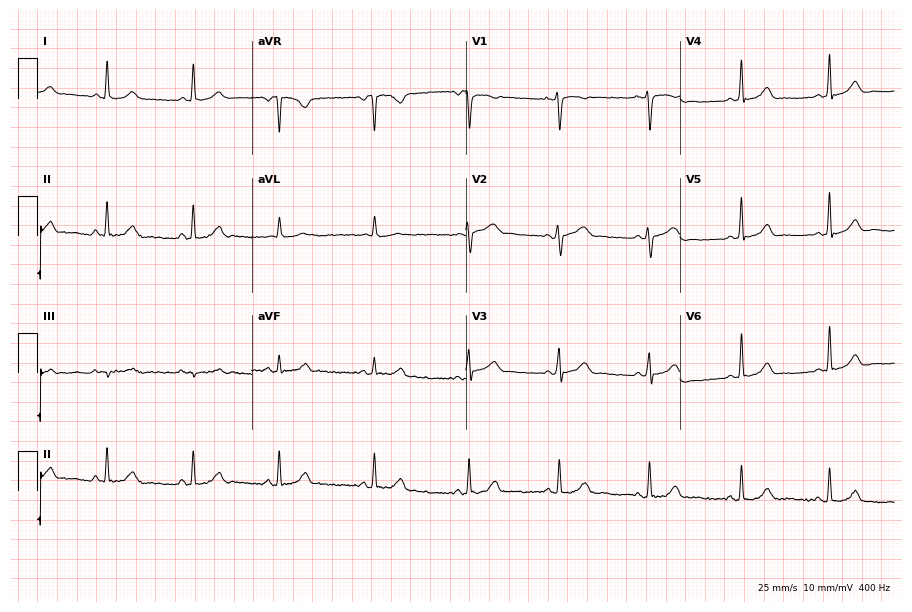
12-lead ECG (8.7-second recording at 400 Hz) from a female patient, 23 years old. Labelled as a normal ECG.